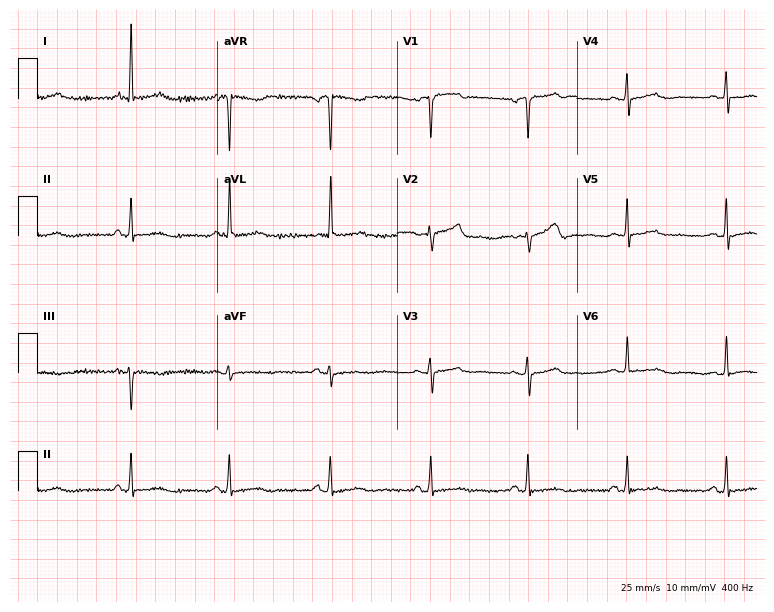
Standard 12-lead ECG recorded from a 54-year-old female patient. None of these six findings is recorded: first-degree AV block, right bundle branch block, left bundle branch block, sinus bradycardia, atrial fibrillation, sinus tachycardia. Only these six findings were labelled.